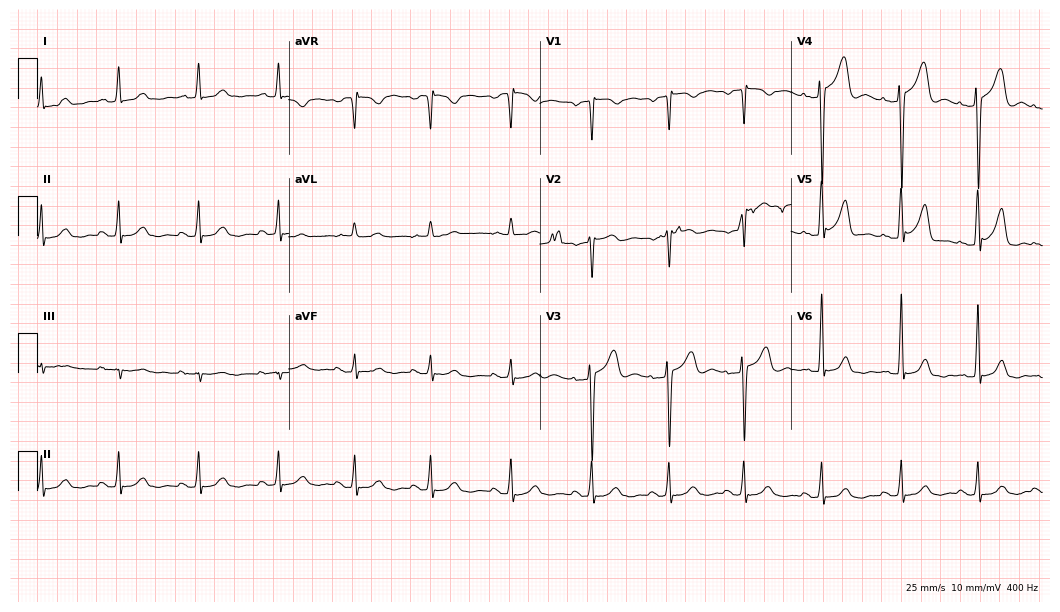
12-lead ECG from a 38-year-old male. Screened for six findings — first-degree AV block, right bundle branch block, left bundle branch block, sinus bradycardia, atrial fibrillation, sinus tachycardia — none is recorded. Only these six findings were labelled.